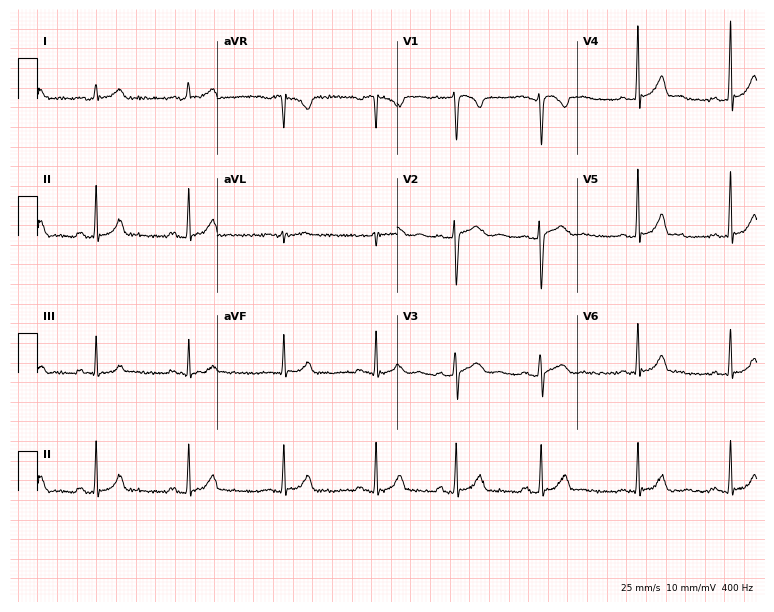
Electrocardiogram (7.3-second recording at 400 Hz), a 29-year-old female. Overall reading on record: normal ECG.